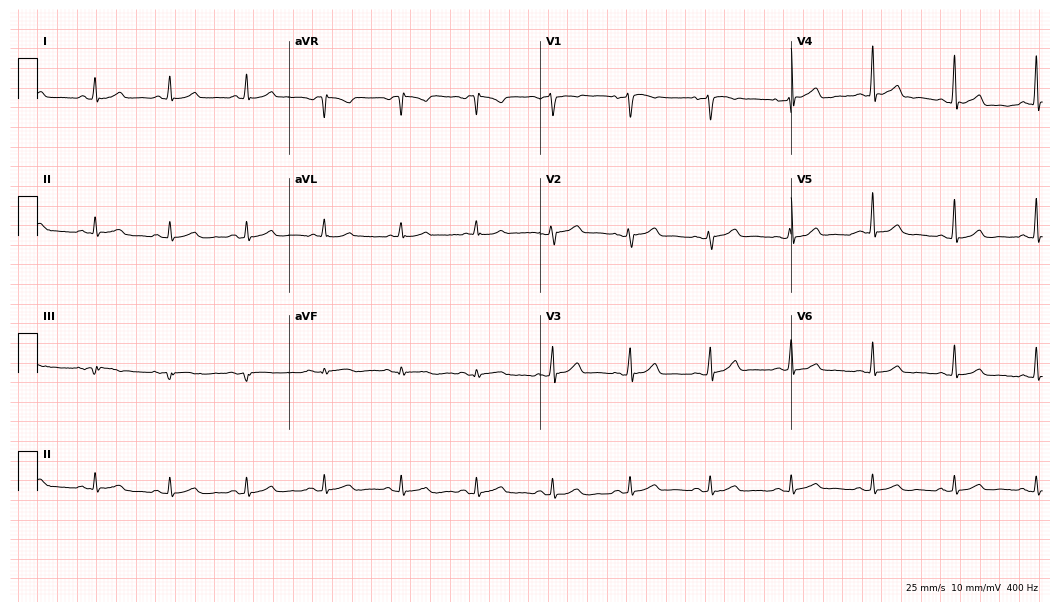
12-lead ECG from a female, 55 years old. Labelled as a normal ECG.